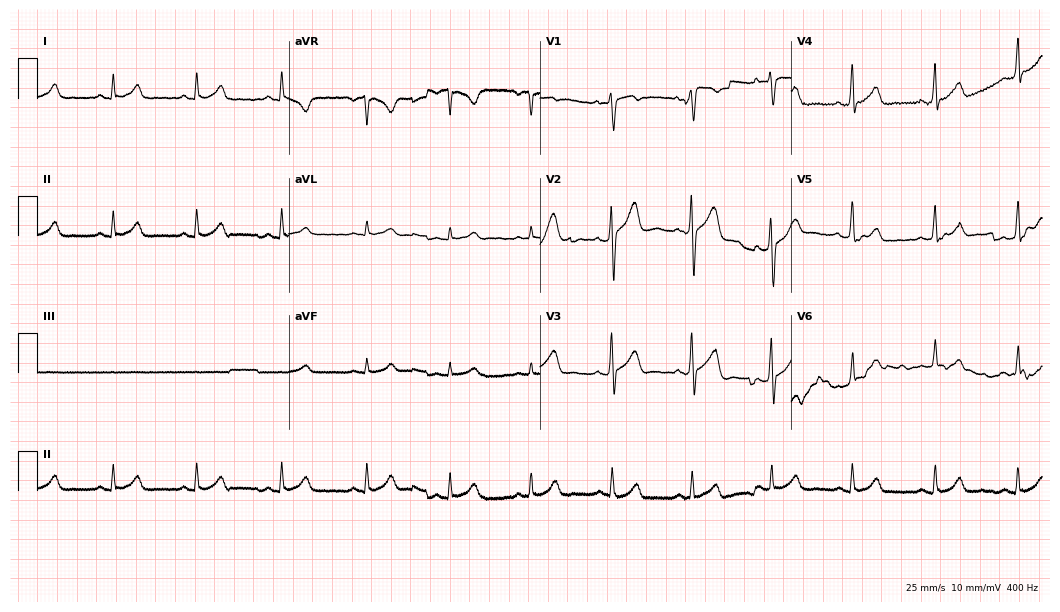
ECG (10.2-second recording at 400 Hz) — a 44-year-old male patient. Screened for six findings — first-degree AV block, right bundle branch block (RBBB), left bundle branch block (LBBB), sinus bradycardia, atrial fibrillation (AF), sinus tachycardia — none is recorded.